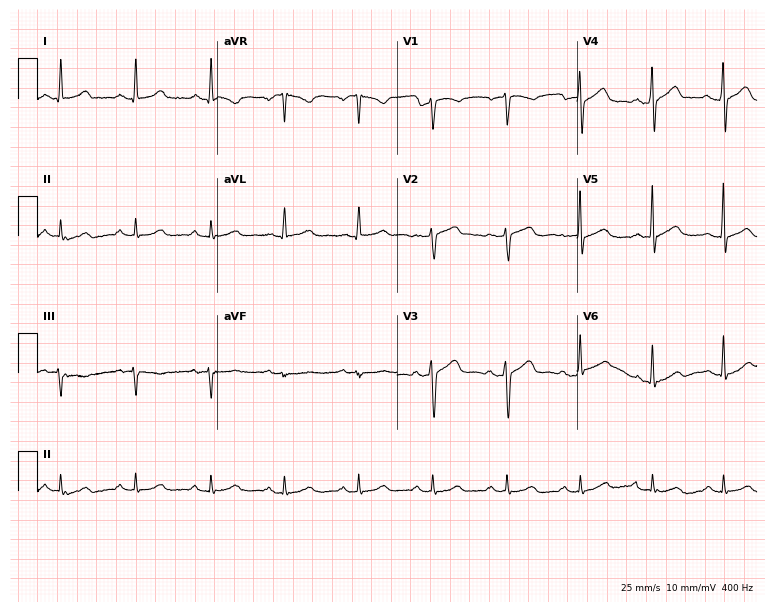
12-lead ECG (7.3-second recording at 400 Hz) from a male, 47 years old. Labelled as a normal ECG.